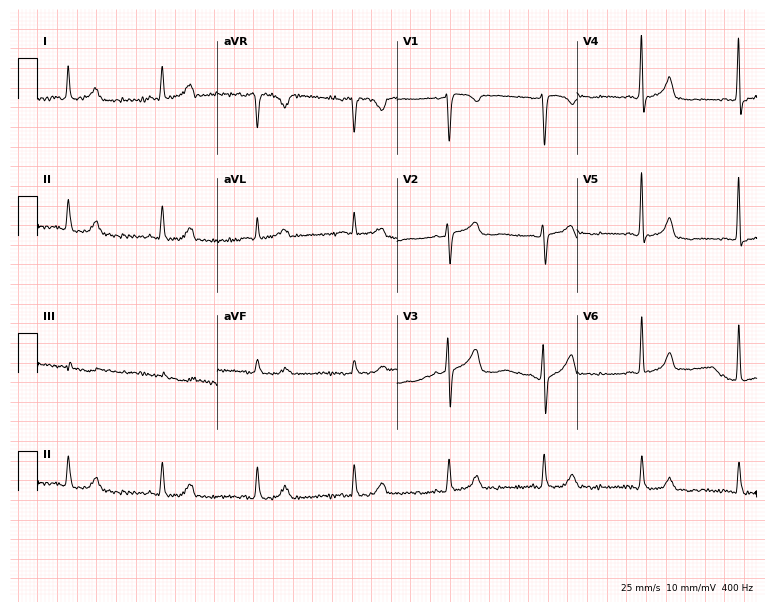
12-lead ECG from a female patient, 64 years old (7.3-second recording at 400 Hz). No first-degree AV block, right bundle branch block, left bundle branch block, sinus bradycardia, atrial fibrillation or sinus tachycardia recorded for this tracing. Only these six findings were labelled.